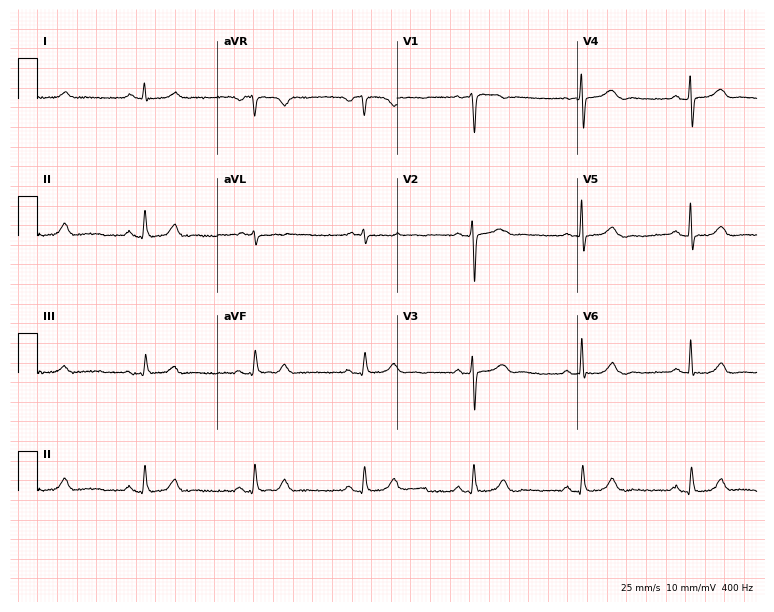
Standard 12-lead ECG recorded from a male, 71 years old. Read as a normal ECG.